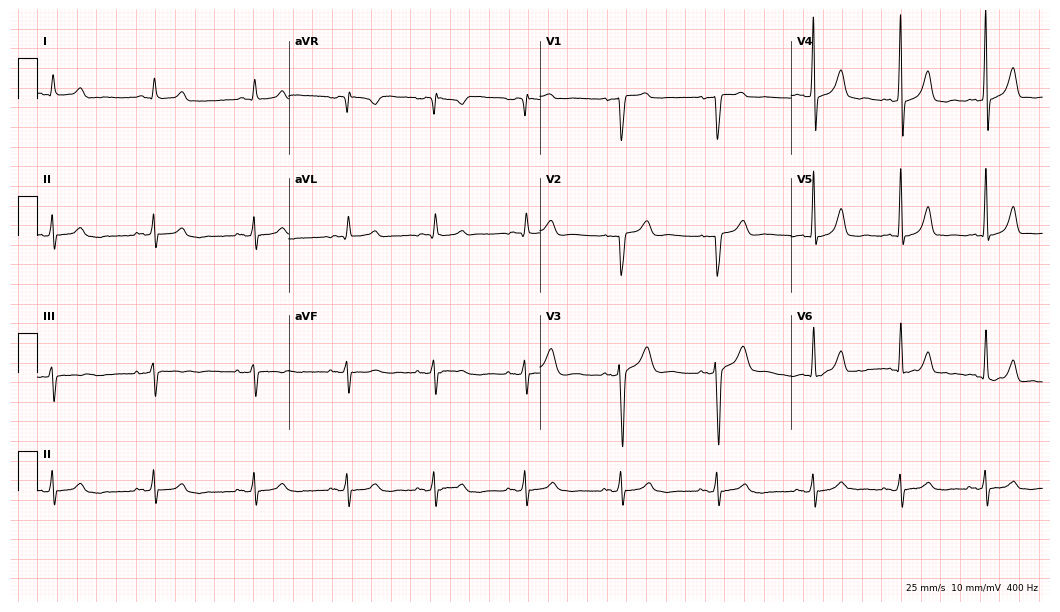
Standard 12-lead ECG recorded from a 55-year-old male. Read as a normal ECG.